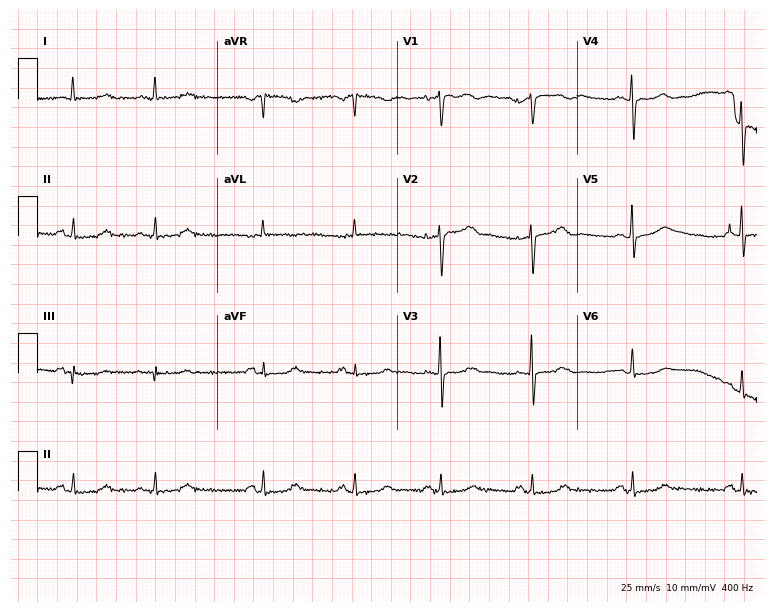
ECG (7.3-second recording at 400 Hz) — a 69-year-old female patient. Screened for six findings — first-degree AV block, right bundle branch block (RBBB), left bundle branch block (LBBB), sinus bradycardia, atrial fibrillation (AF), sinus tachycardia — none is recorded. Other findings, if any, are not listed.